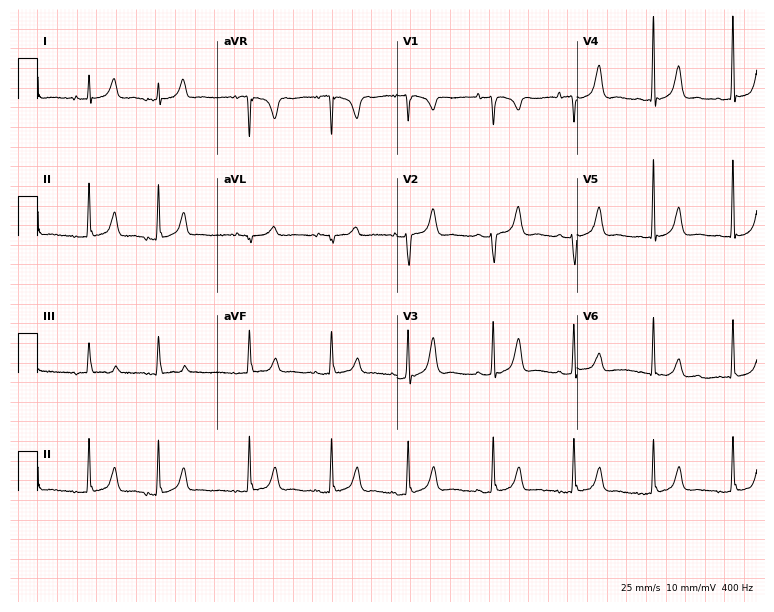
Electrocardiogram, an 82-year-old female. Of the six screened findings (first-degree AV block, right bundle branch block, left bundle branch block, sinus bradycardia, atrial fibrillation, sinus tachycardia), none is recorded.